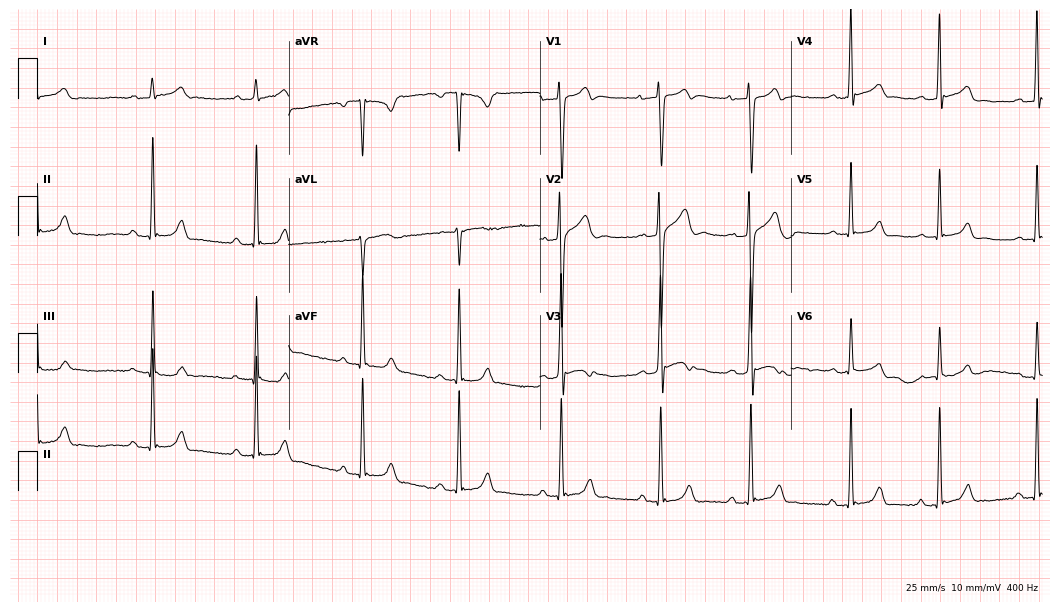
Standard 12-lead ECG recorded from a male patient, 18 years old (10.2-second recording at 400 Hz). None of these six findings is recorded: first-degree AV block, right bundle branch block, left bundle branch block, sinus bradycardia, atrial fibrillation, sinus tachycardia. Other findings, if any, are not listed.